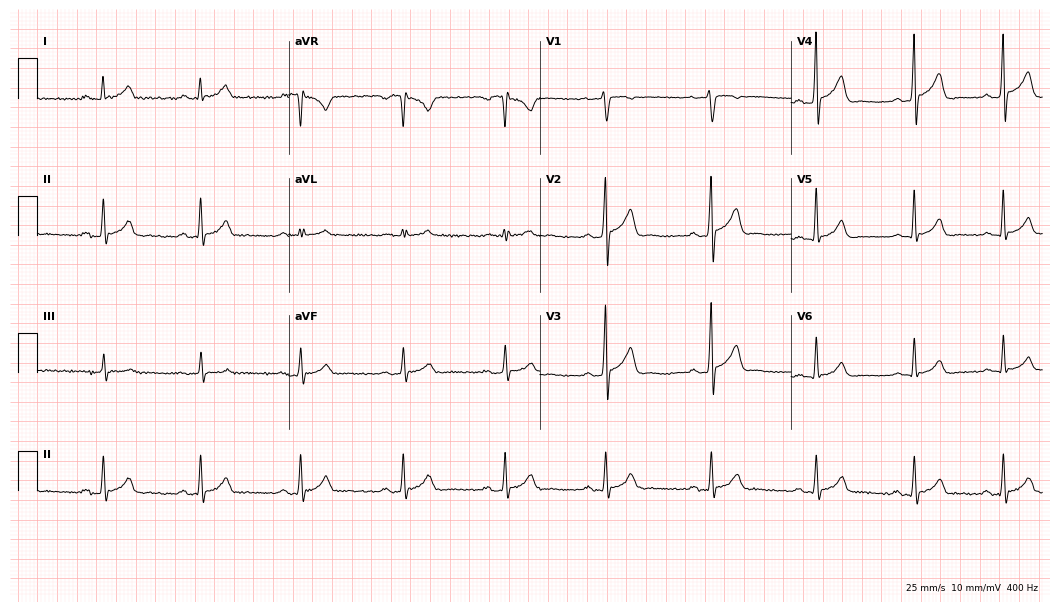
12-lead ECG (10.2-second recording at 400 Hz) from a 31-year-old male patient. Labelled as a normal ECG.